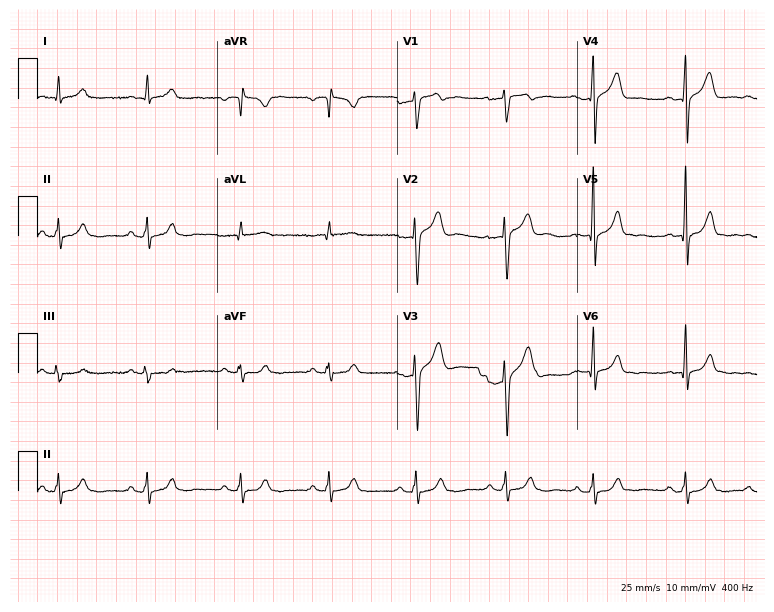
Standard 12-lead ECG recorded from a 48-year-old male patient. Read as a normal ECG.